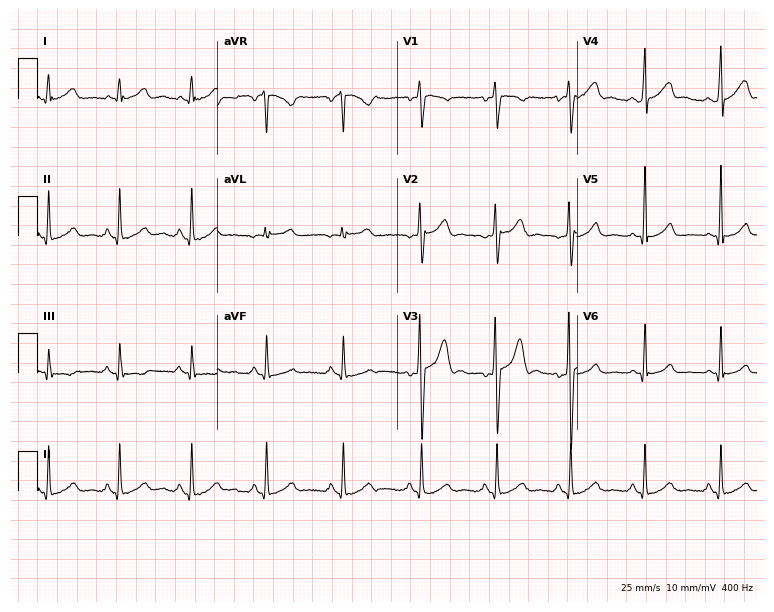
12-lead ECG from a 28-year-old male. Recorded interpretation: within normal limits.